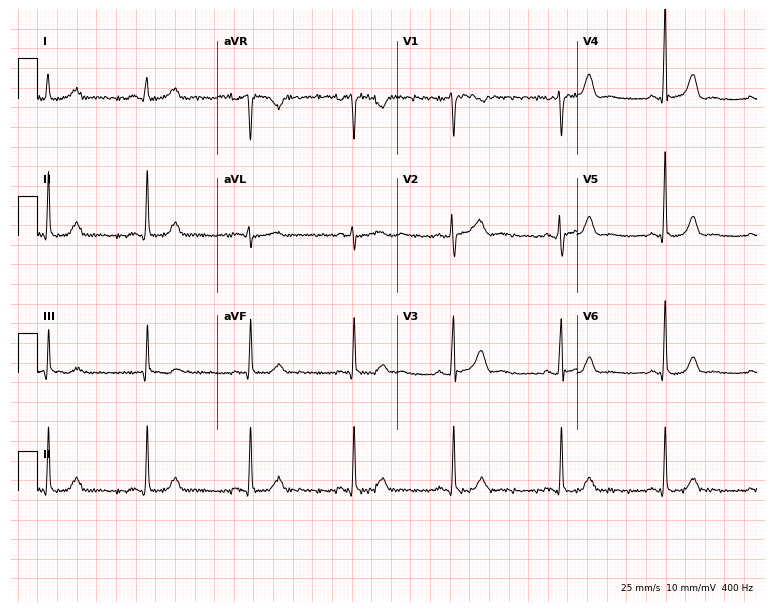
Electrocardiogram, a female patient, 32 years old. Overall reading on record: normal ECG.